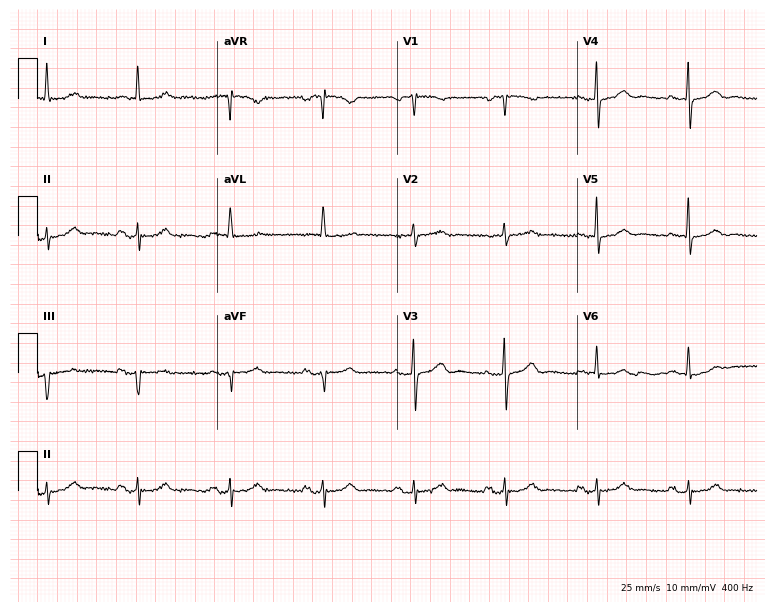
12-lead ECG from an 84-year-old female patient. Recorded interpretation: within normal limits.